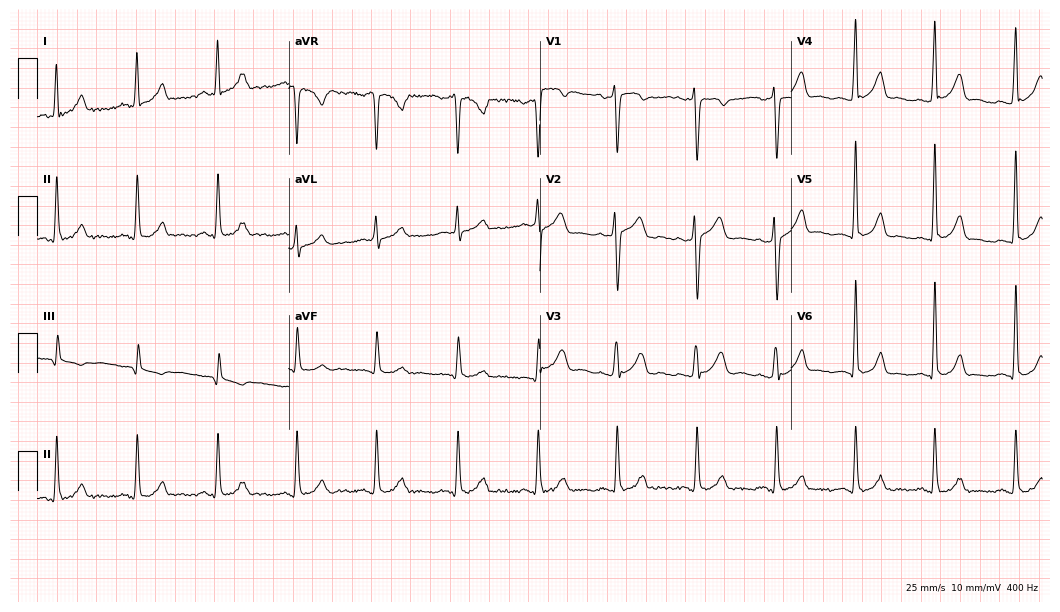
Electrocardiogram (10.2-second recording at 400 Hz), a 32-year-old female. Overall reading on record: normal ECG.